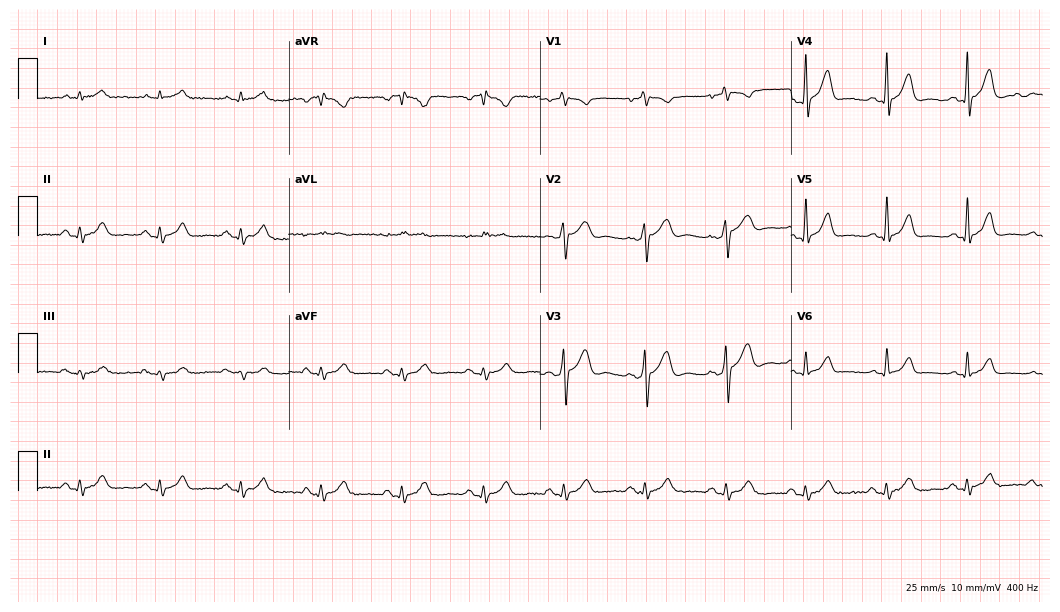
12-lead ECG from a 78-year-old male patient (10.2-second recording at 400 Hz). Recorded interpretation: within normal limits.